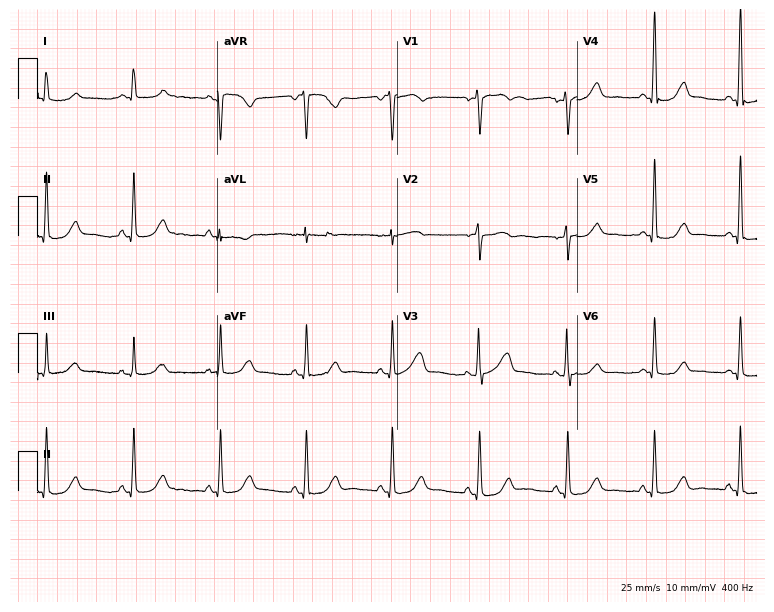
Standard 12-lead ECG recorded from a 62-year-old female patient (7.3-second recording at 400 Hz). Read as a normal ECG.